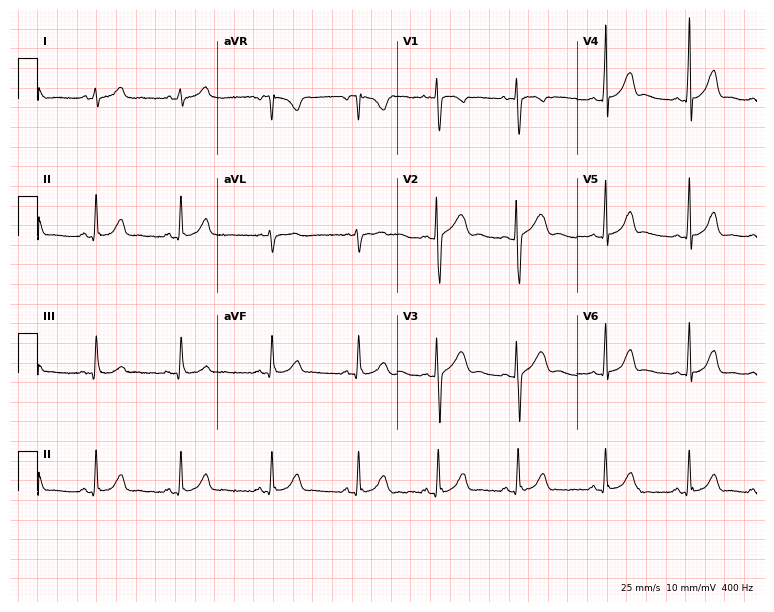
12-lead ECG from a 17-year-old female. Recorded interpretation: within normal limits.